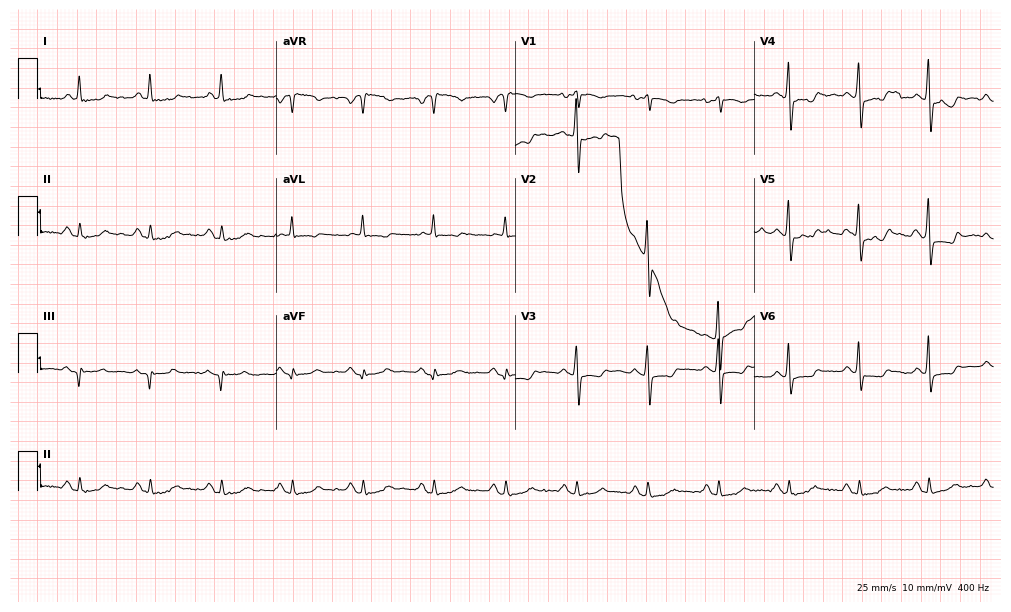
12-lead ECG from a woman, 73 years old (9.7-second recording at 400 Hz). No first-degree AV block, right bundle branch block, left bundle branch block, sinus bradycardia, atrial fibrillation or sinus tachycardia recorded for this tracing.